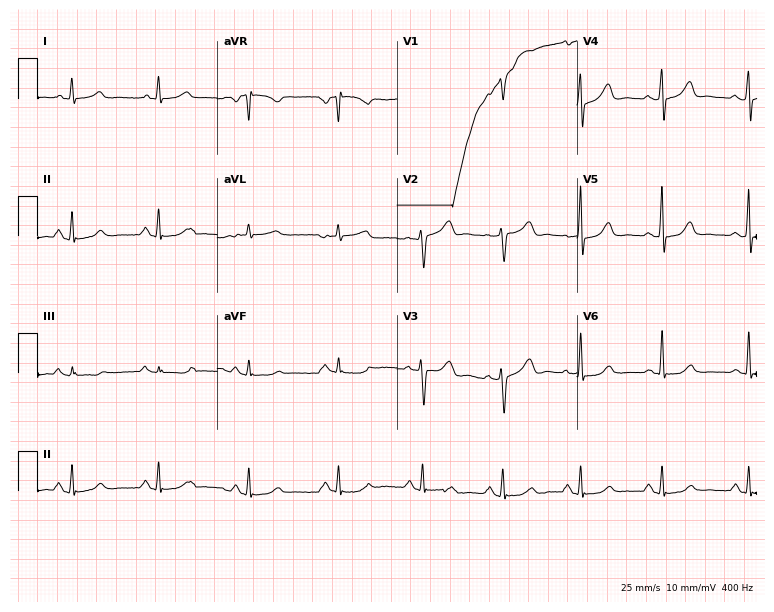
12-lead ECG from a female patient, 48 years old. No first-degree AV block, right bundle branch block (RBBB), left bundle branch block (LBBB), sinus bradycardia, atrial fibrillation (AF) or sinus tachycardia recorded for this tracing.